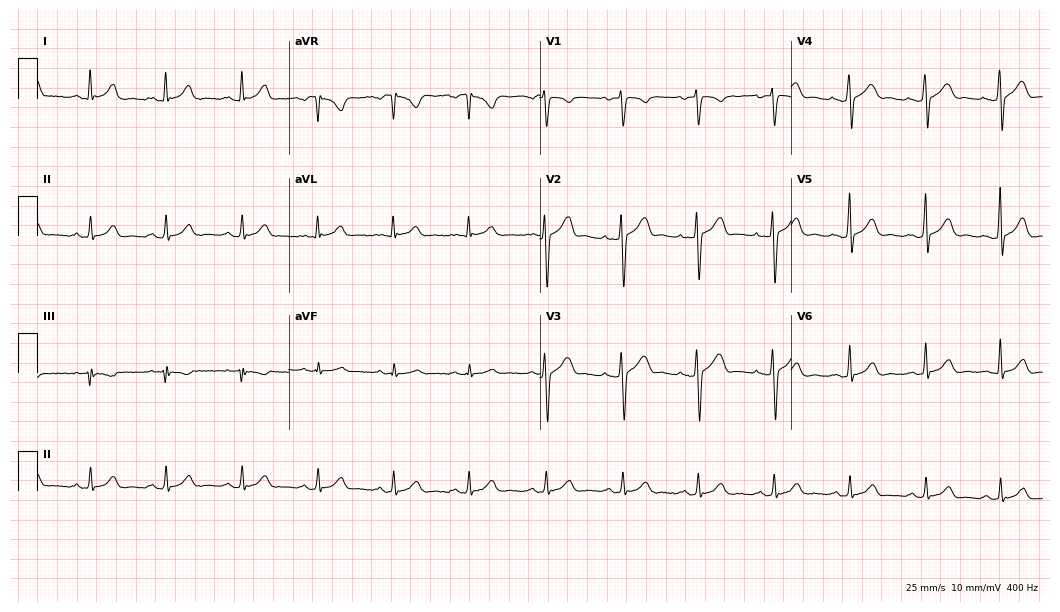
ECG — a 42-year-old male. Labelled as a normal ECG.